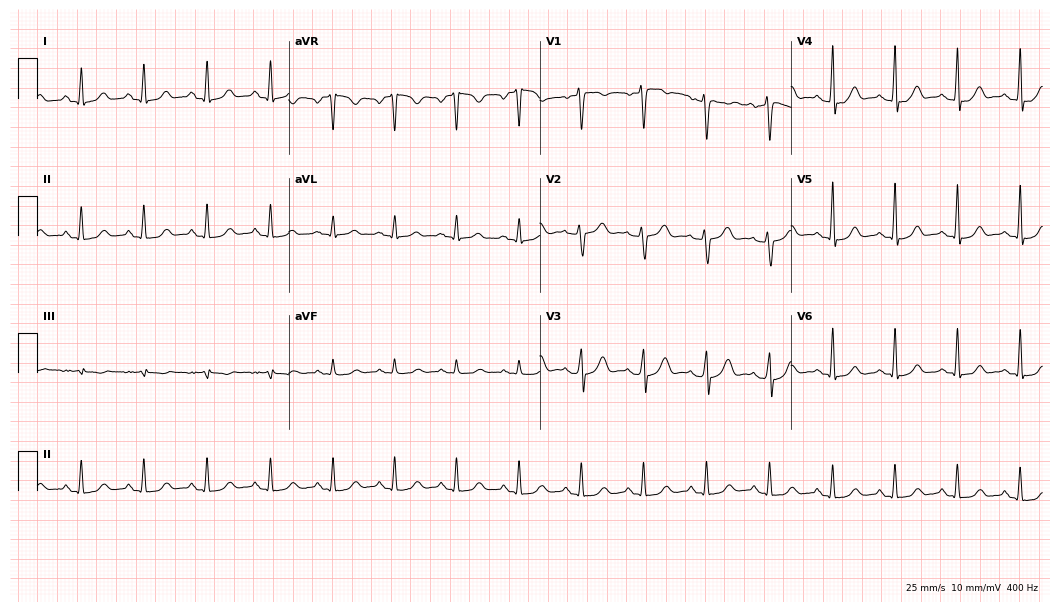
12-lead ECG from a woman, 40 years old. Recorded interpretation: within normal limits.